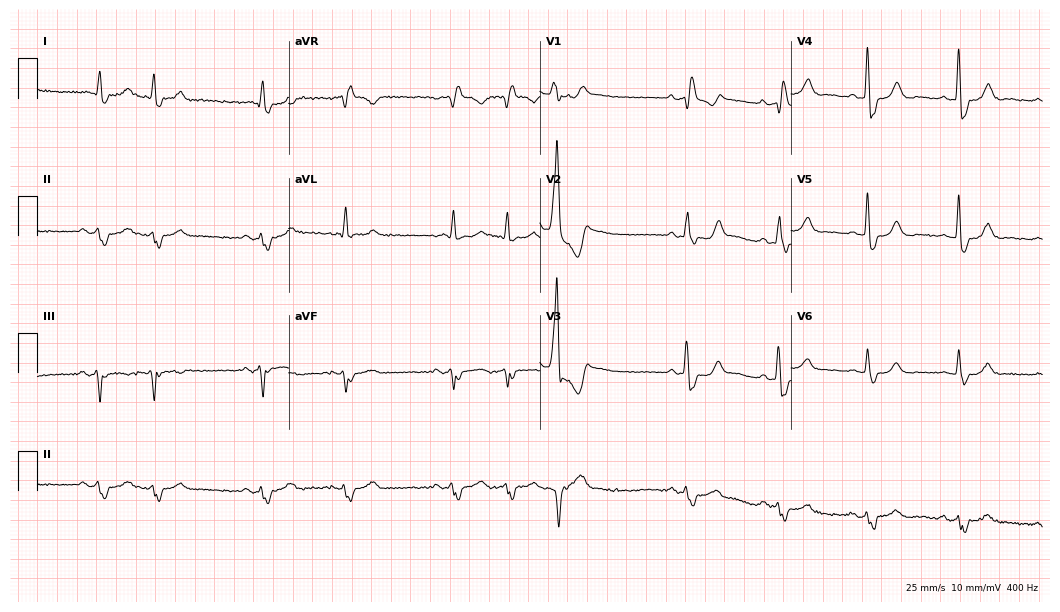
Standard 12-lead ECG recorded from an 83-year-old man. The tracing shows right bundle branch block (RBBB).